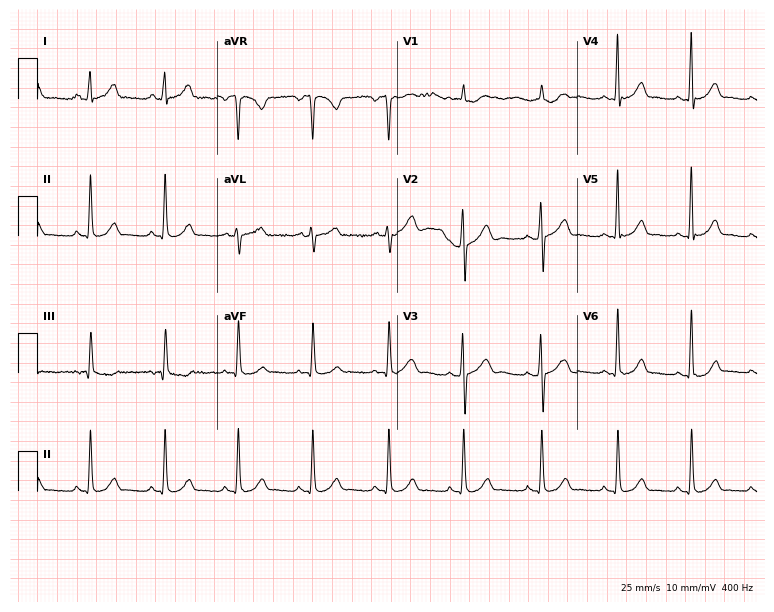
12-lead ECG (7.3-second recording at 400 Hz) from a female, 19 years old. Labelled as a normal ECG.